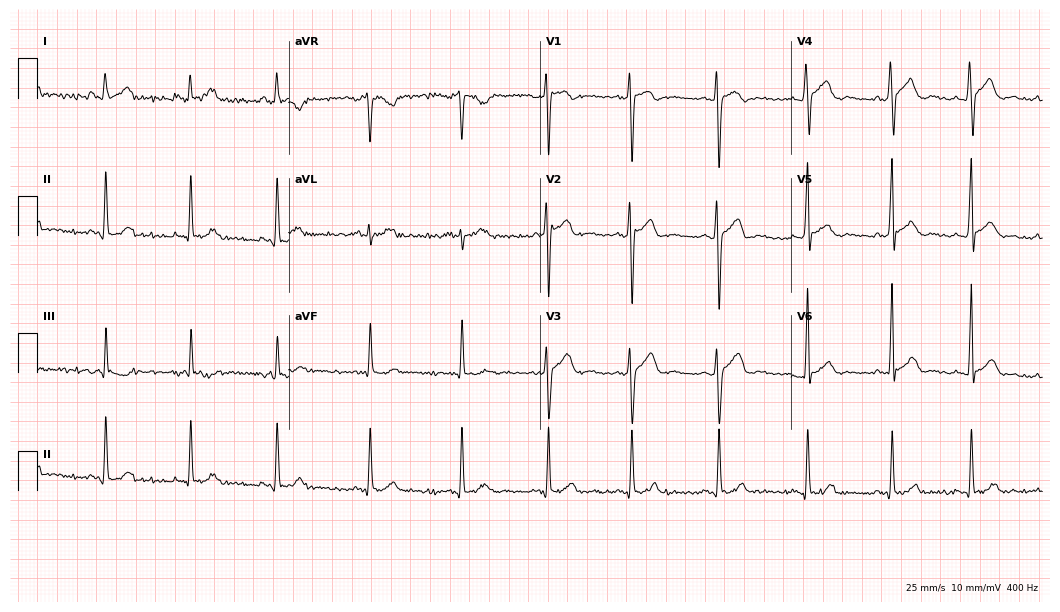
ECG — a man, 24 years old. Labelled as a normal ECG.